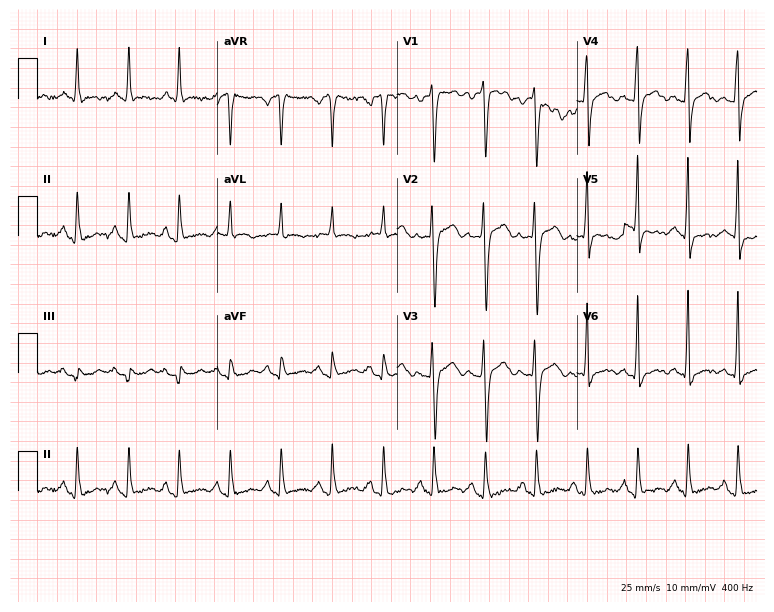
12-lead ECG from a 60-year-old female patient. Findings include sinus tachycardia (a sinus rate of 100 beats per minute or more).